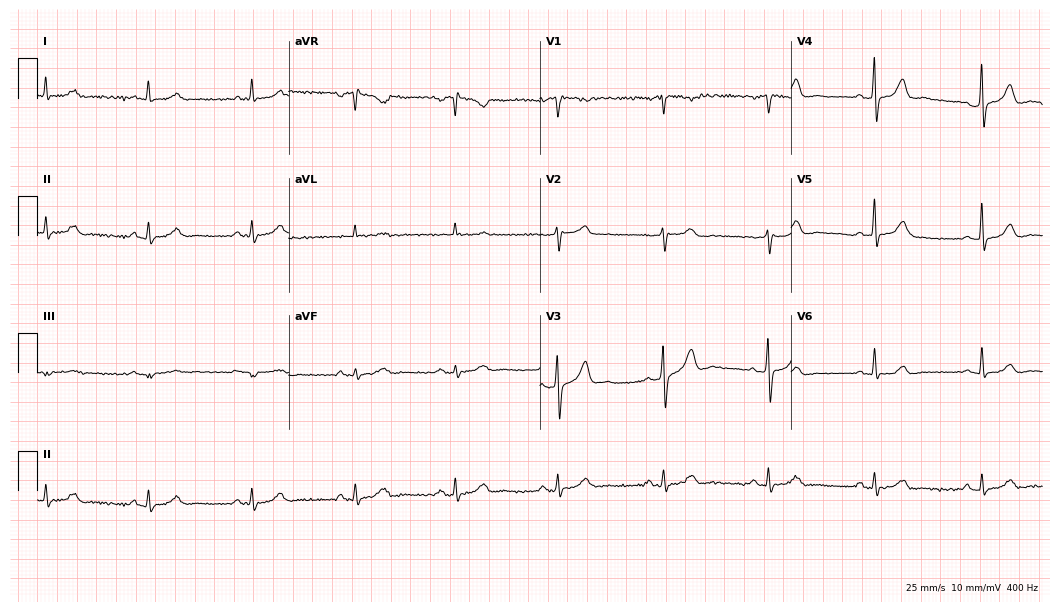
12-lead ECG (10.2-second recording at 400 Hz) from a male, 59 years old. Labelled as a normal ECG.